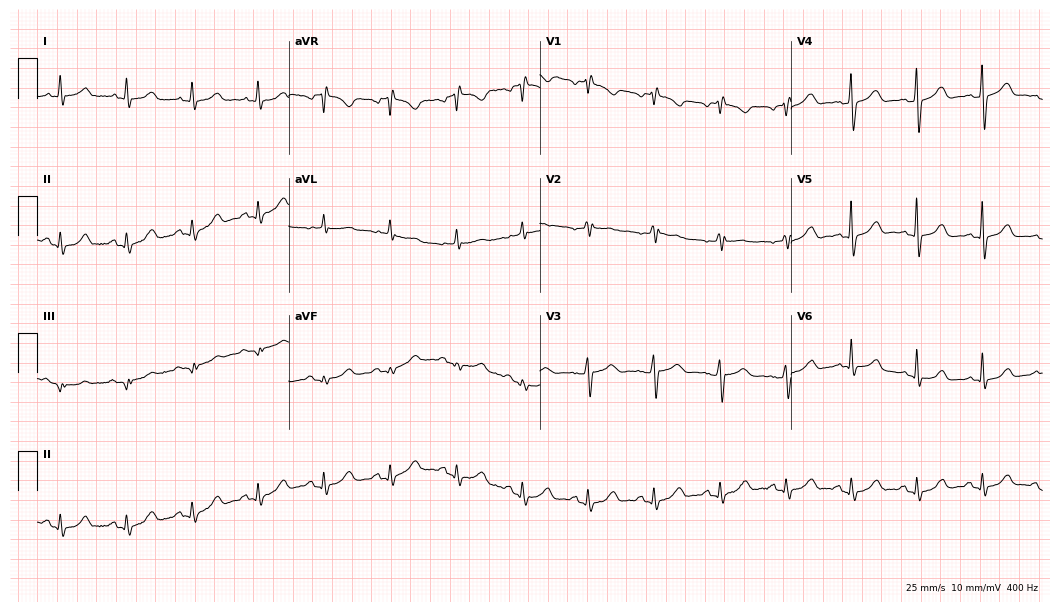
Resting 12-lead electrocardiogram. Patient: a female, 82 years old. None of these six findings is recorded: first-degree AV block, right bundle branch block, left bundle branch block, sinus bradycardia, atrial fibrillation, sinus tachycardia. Other findings, if any, are not listed.